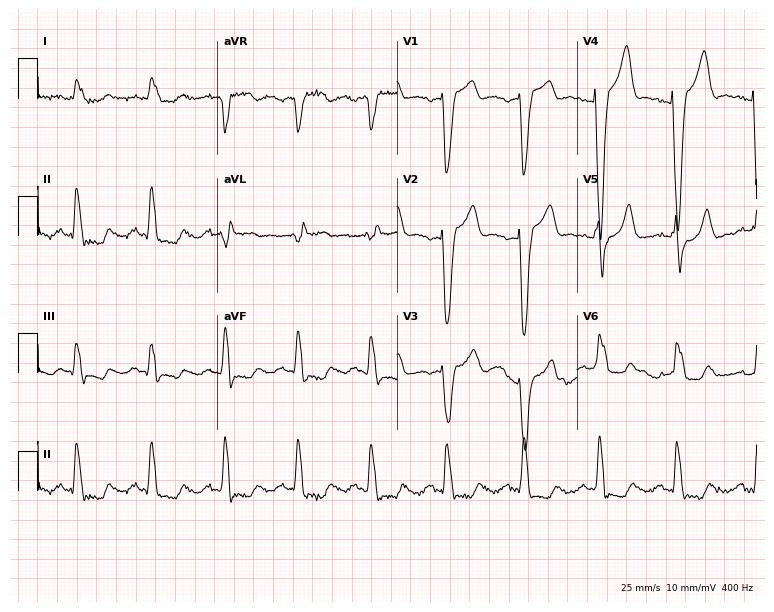
Standard 12-lead ECG recorded from a male, 85 years old. The tracing shows left bundle branch block.